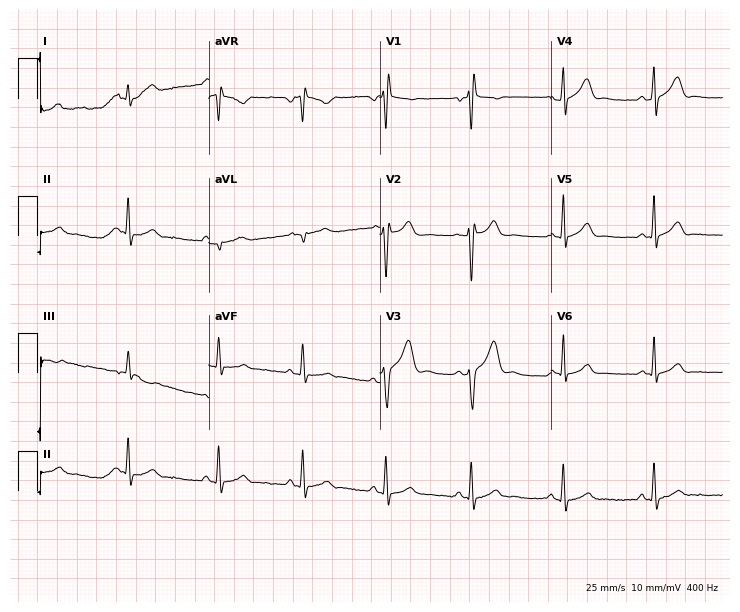
12-lead ECG from a male patient, 31 years old. Recorded interpretation: within normal limits.